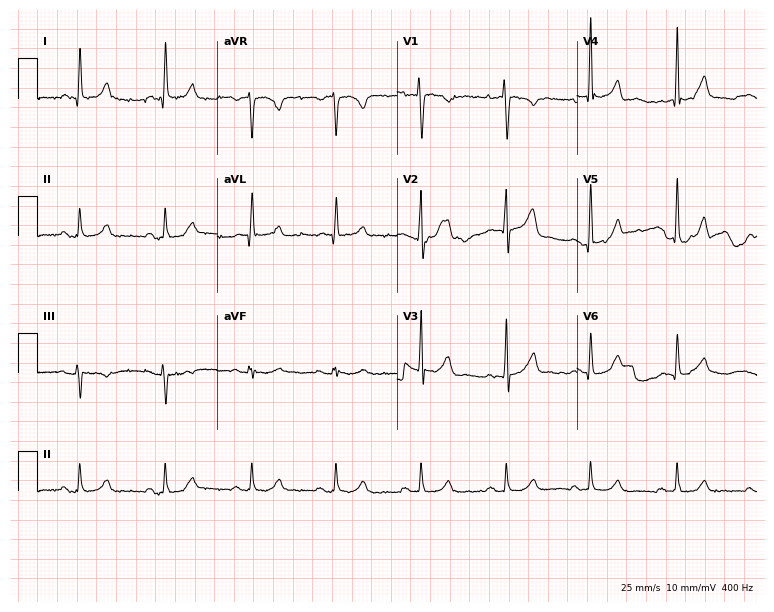
Standard 12-lead ECG recorded from a man, 57 years old. Read as a normal ECG.